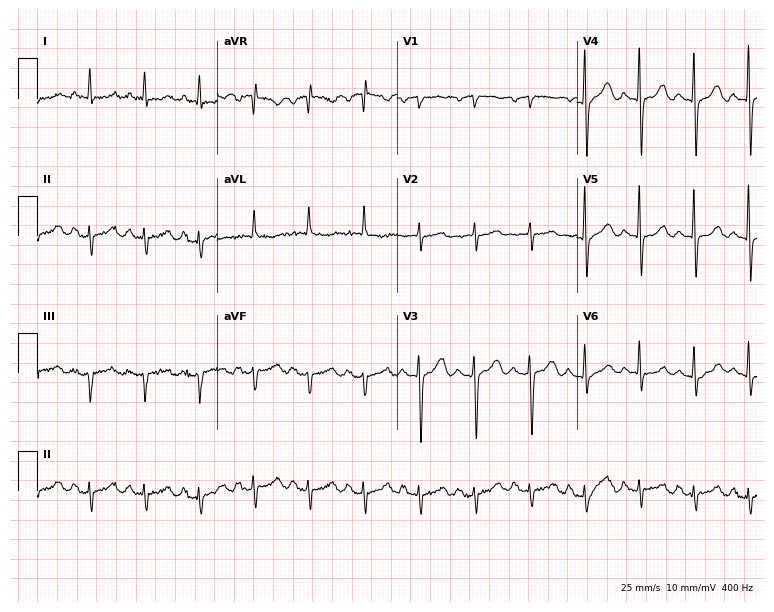
ECG (7.3-second recording at 400 Hz) — a female patient, 80 years old. Findings include sinus tachycardia (a sinus rate of 100 beats per minute or more).